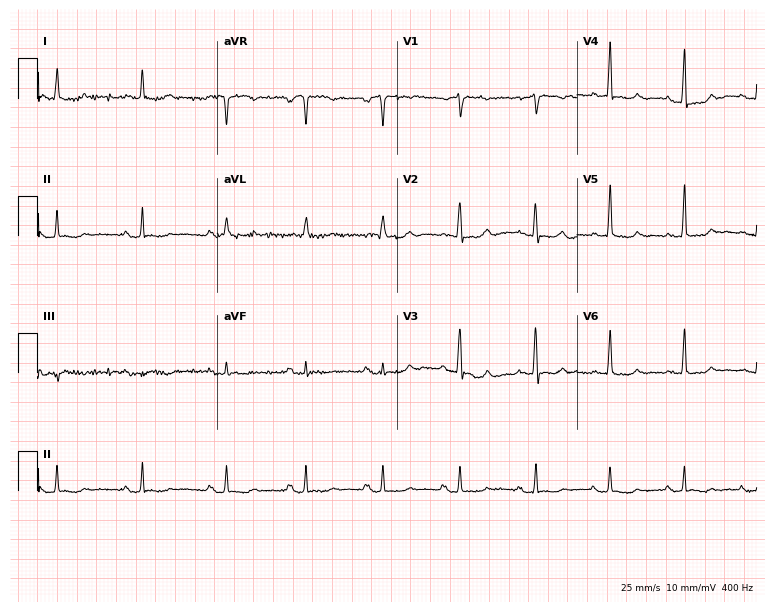
12-lead ECG (7.3-second recording at 400 Hz) from a female patient, 75 years old. Screened for six findings — first-degree AV block, right bundle branch block (RBBB), left bundle branch block (LBBB), sinus bradycardia, atrial fibrillation (AF), sinus tachycardia — none is recorded. Findings outside these six are not listed.